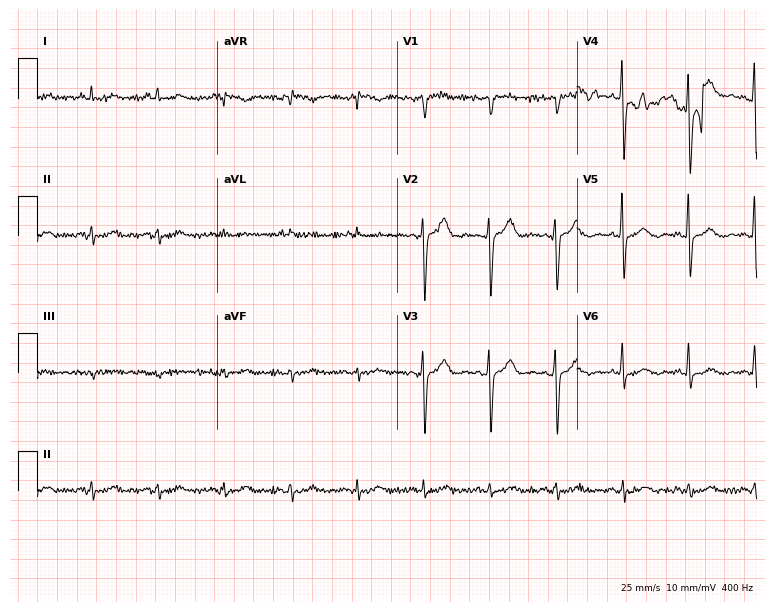
Electrocardiogram (7.3-second recording at 400 Hz), a man, 68 years old. Of the six screened findings (first-degree AV block, right bundle branch block, left bundle branch block, sinus bradycardia, atrial fibrillation, sinus tachycardia), none is recorded.